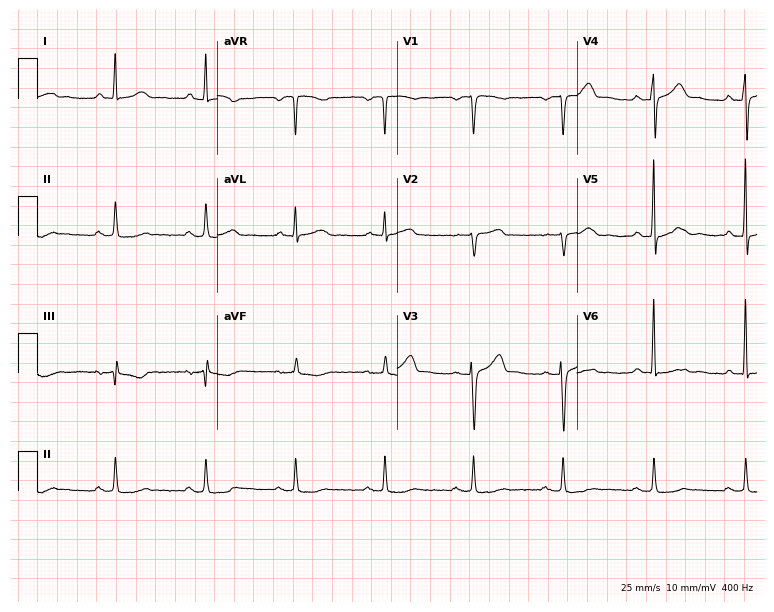
Resting 12-lead electrocardiogram (7.3-second recording at 400 Hz). Patient: a 58-year-old male. None of these six findings is recorded: first-degree AV block, right bundle branch block (RBBB), left bundle branch block (LBBB), sinus bradycardia, atrial fibrillation (AF), sinus tachycardia.